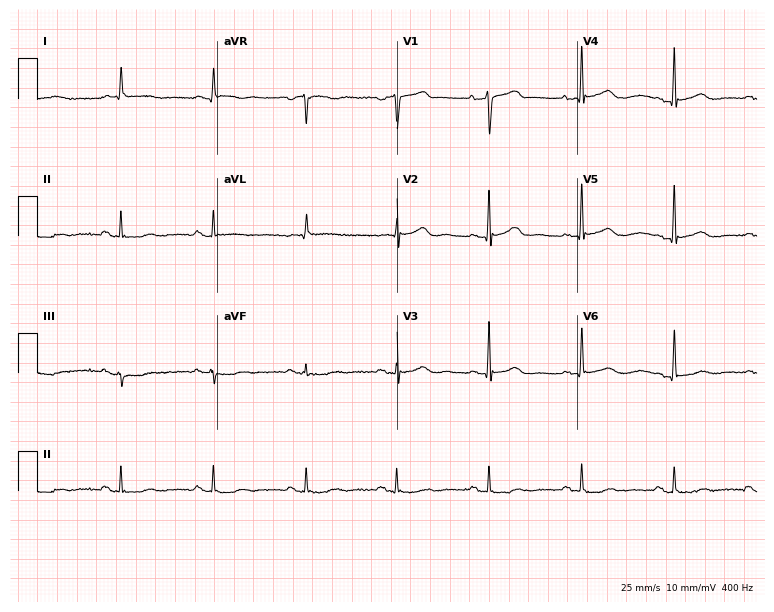
ECG (7.3-second recording at 400 Hz) — a male patient, 74 years old. Screened for six findings — first-degree AV block, right bundle branch block (RBBB), left bundle branch block (LBBB), sinus bradycardia, atrial fibrillation (AF), sinus tachycardia — none is recorded.